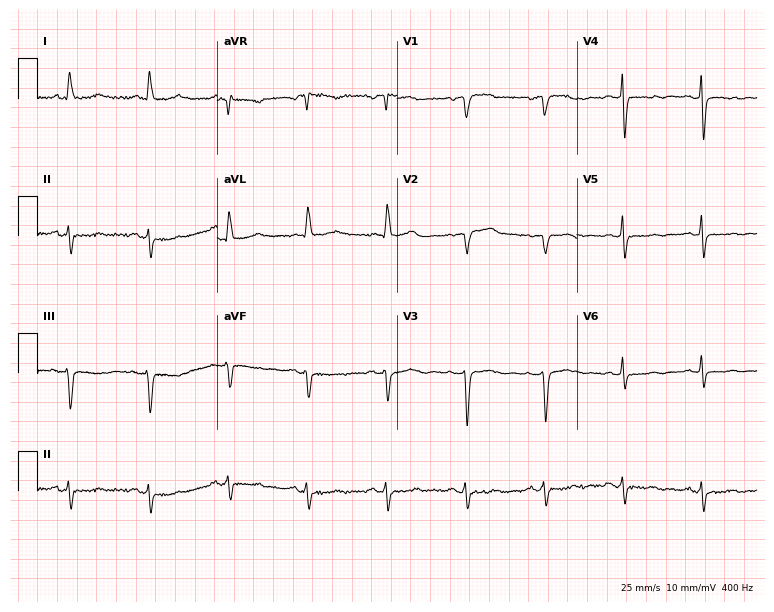
12-lead ECG from a female, 76 years old (7.3-second recording at 400 Hz). No first-degree AV block, right bundle branch block, left bundle branch block, sinus bradycardia, atrial fibrillation or sinus tachycardia recorded for this tracing. Other findings, if any, are not listed.